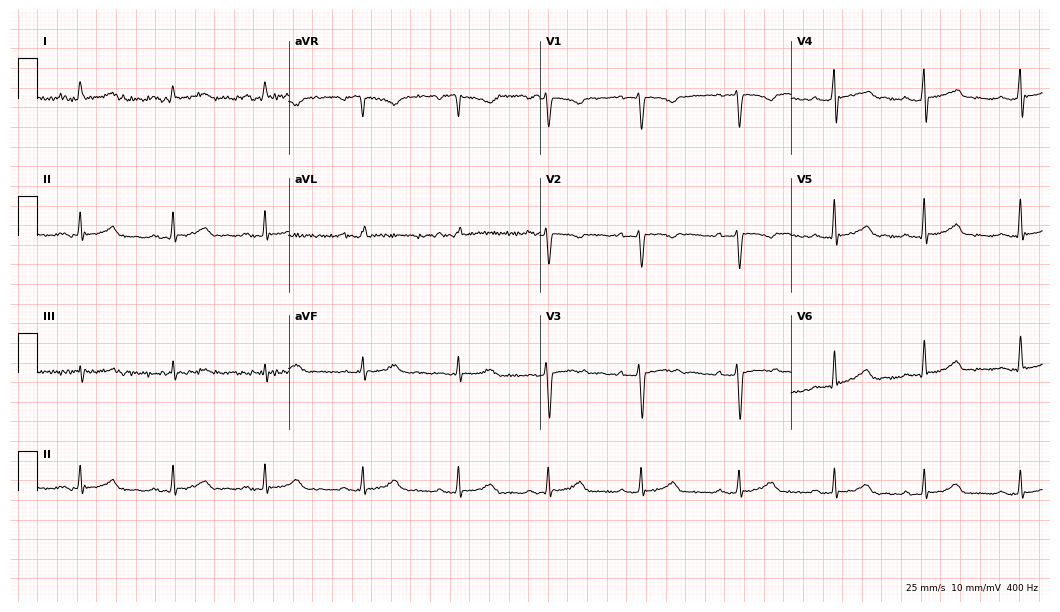
Electrocardiogram (10.2-second recording at 400 Hz), a female, 49 years old. Overall reading on record: normal ECG.